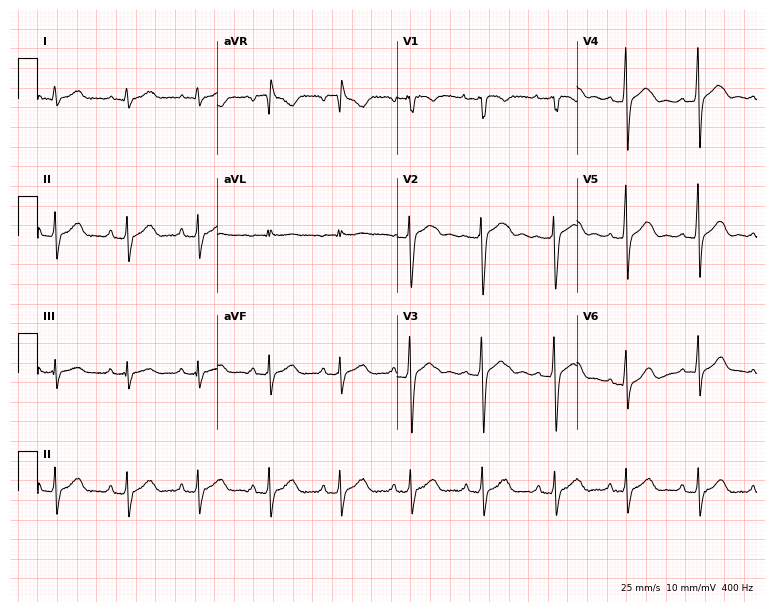
Standard 12-lead ECG recorded from a male patient, 17 years old (7.3-second recording at 400 Hz). None of these six findings is recorded: first-degree AV block, right bundle branch block (RBBB), left bundle branch block (LBBB), sinus bradycardia, atrial fibrillation (AF), sinus tachycardia.